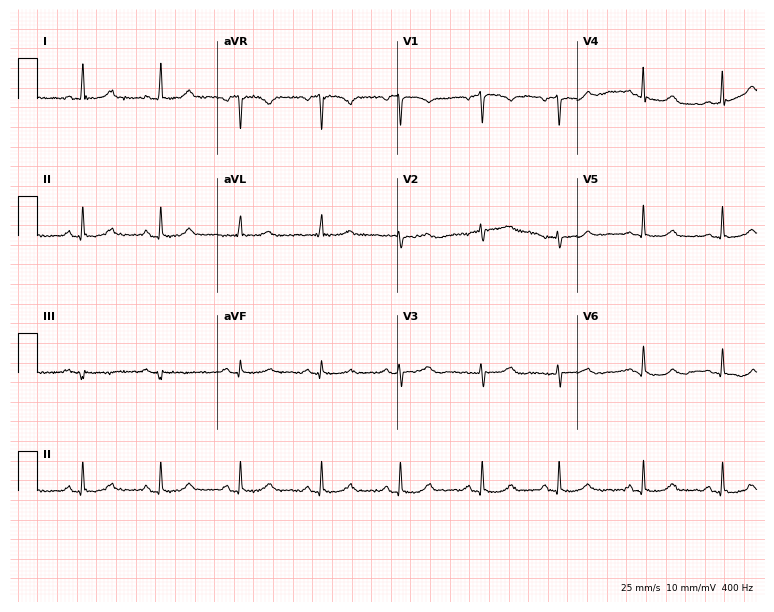
Electrocardiogram (7.3-second recording at 400 Hz), a female, 77 years old. Of the six screened findings (first-degree AV block, right bundle branch block, left bundle branch block, sinus bradycardia, atrial fibrillation, sinus tachycardia), none is recorded.